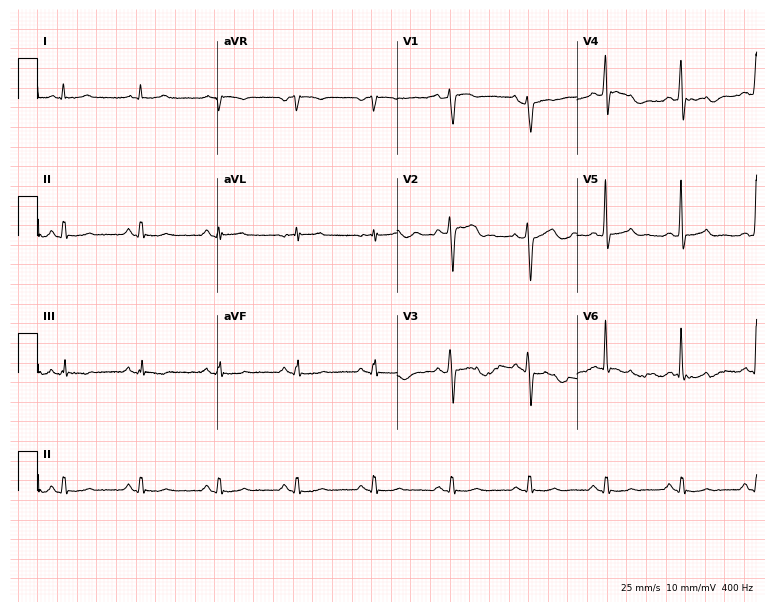
12-lead ECG from a male patient, 62 years old. No first-degree AV block, right bundle branch block, left bundle branch block, sinus bradycardia, atrial fibrillation or sinus tachycardia recorded for this tracing. Only these six findings were labelled.